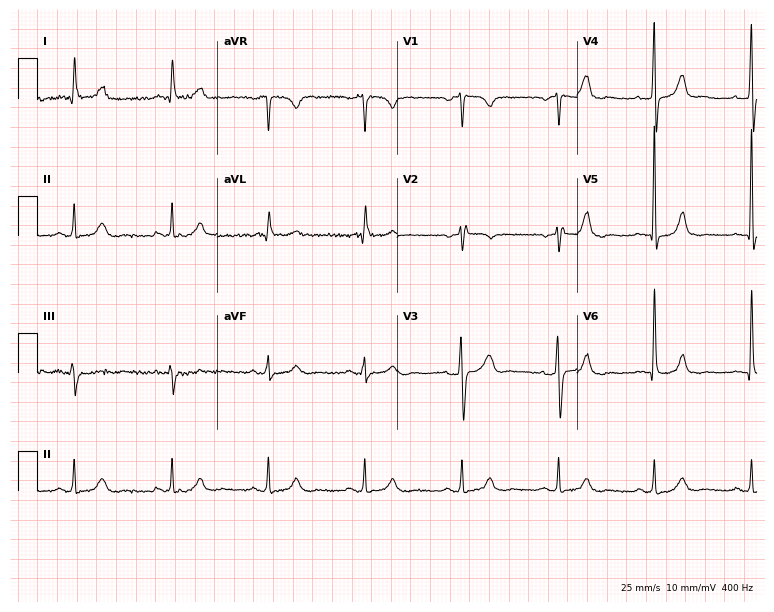
12-lead ECG from a man, 84 years old. Labelled as a normal ECG.